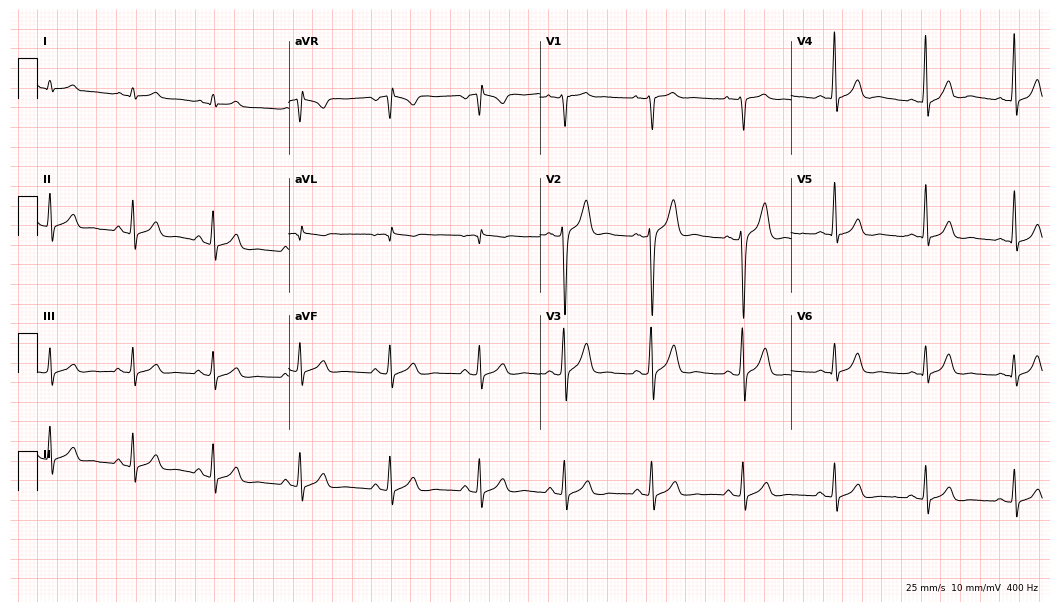
12-lead ECG from a man, 21 years old. Recorded interpretation: within normal limits.